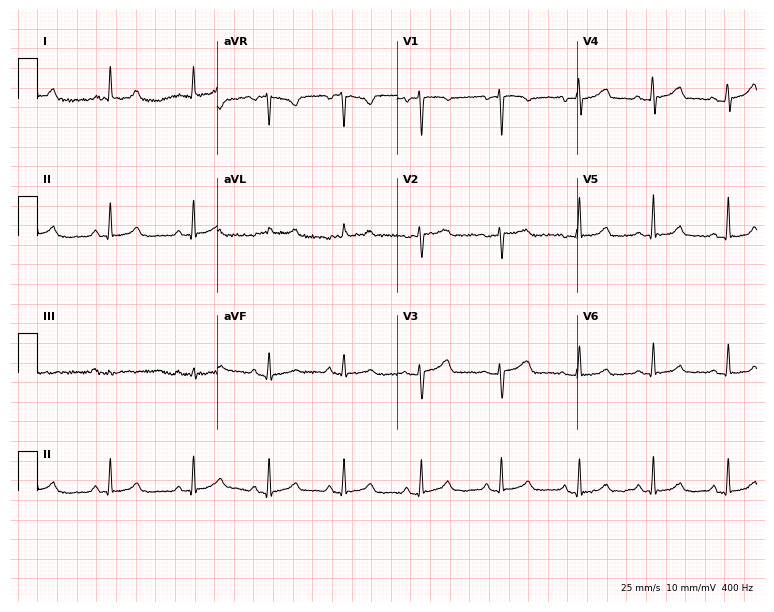
Electrocardiogram (7.3-second recording at 400 Hz), a 45-year-old female patient. Overall reading on record: normal ECG.